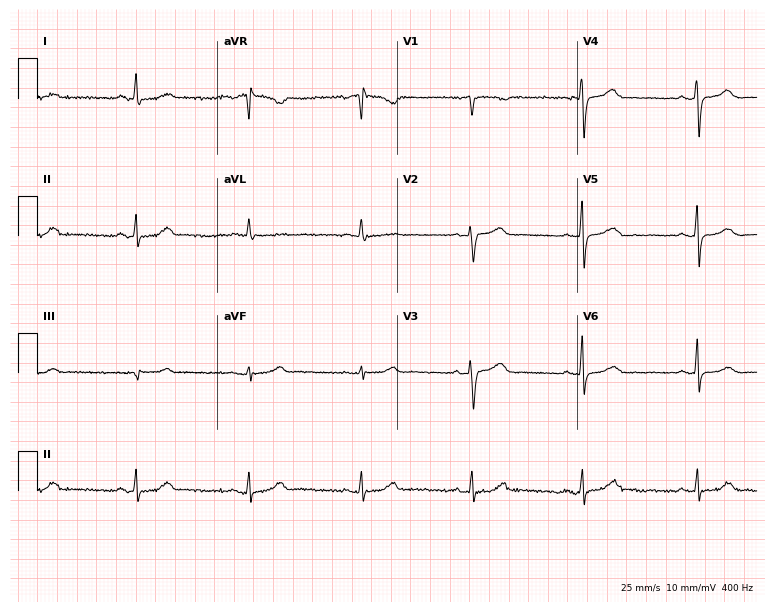
12-lead ECG from a 64-year-old female patient. Labelled as a normal ECG.